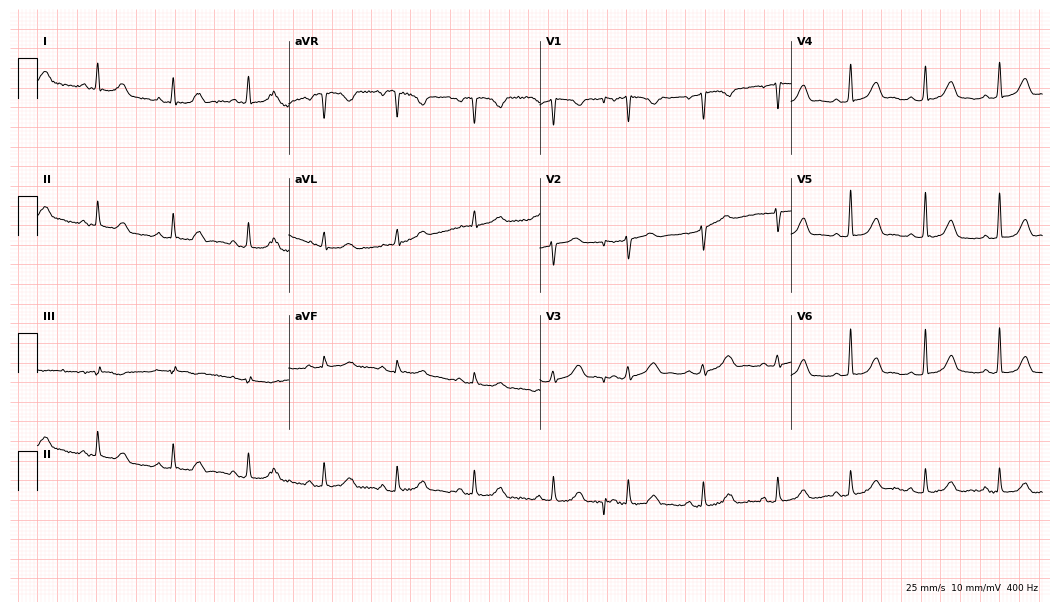
Electrocardiogram, a woman, 40 years old. Overall reading on record: normal ECG.